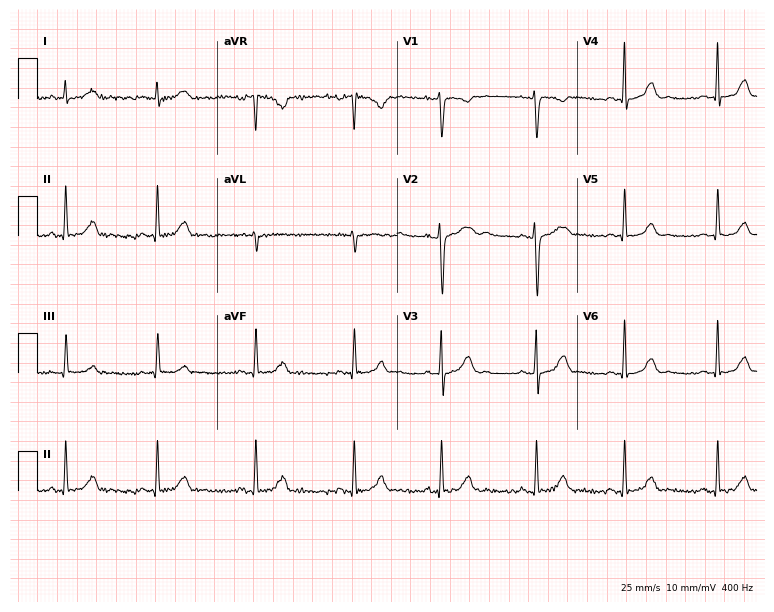
Standard 12-lead ECG recorded from a female, 28 years old. Read as a normal ECG.